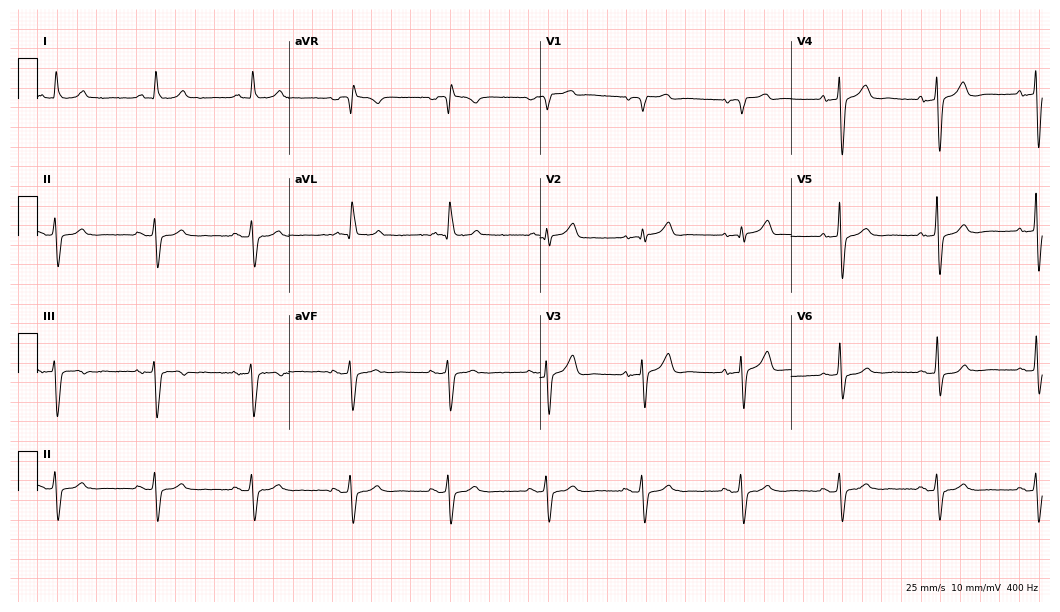
12-lead ECG from a 79-year-old male. Shows left bundle branch block.